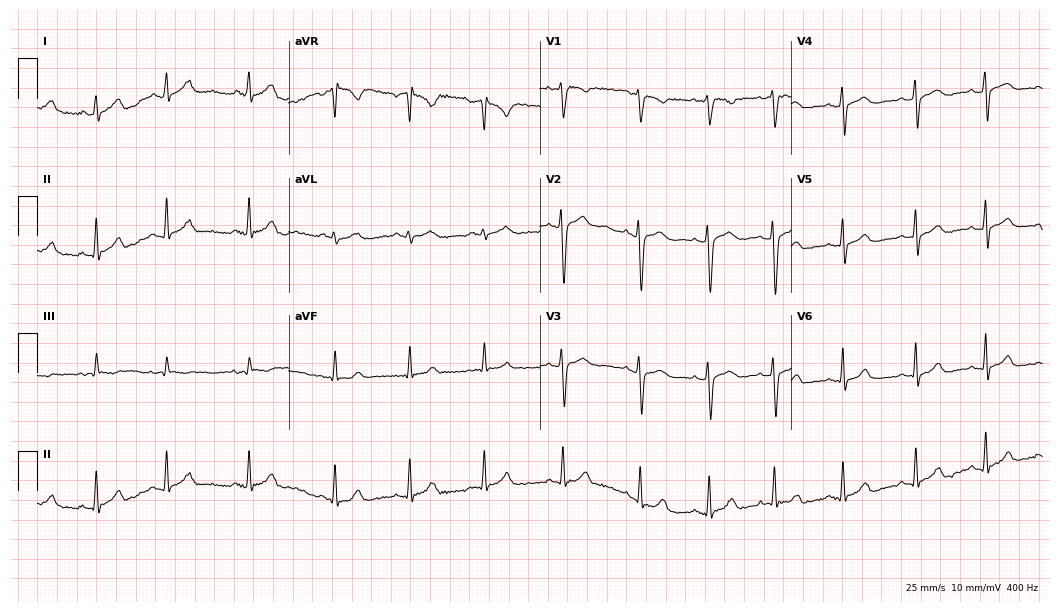
Resting 12-lead electrocardiogram (10.2-second recording at 400 Hz). Patient: an 18-year-old woman. Read as a normal ECG.